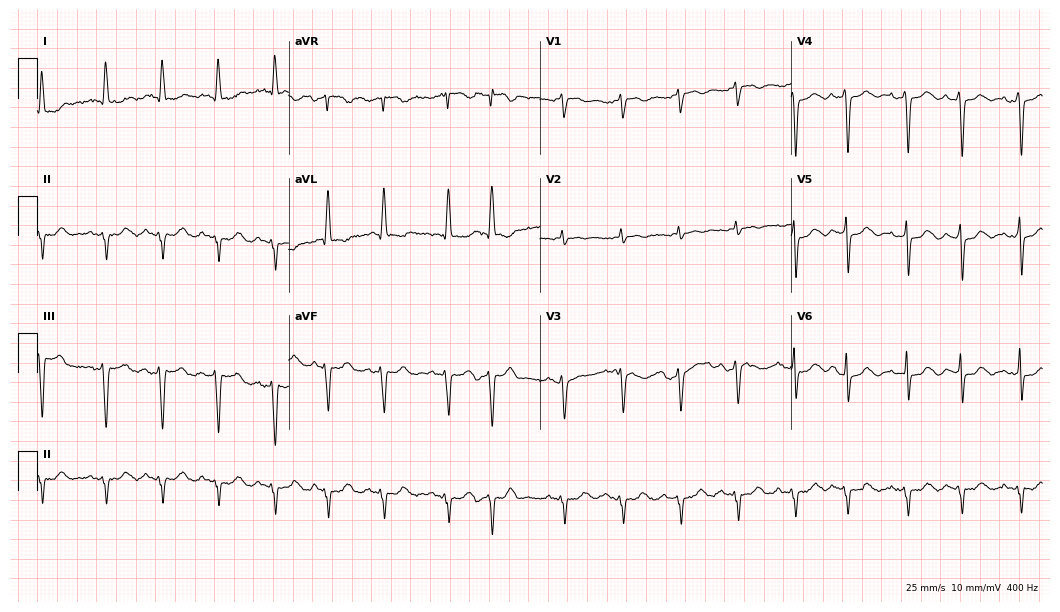
12-lead ECG (10.2-second recording at 400 Hz) from a woman, 84 years old. Screened for six findings — first-degree AV block, right bundle branch block, left bundle branch block, sinus bradycardia, atrial fibrillation, sinus tachycardia — none is recorded.